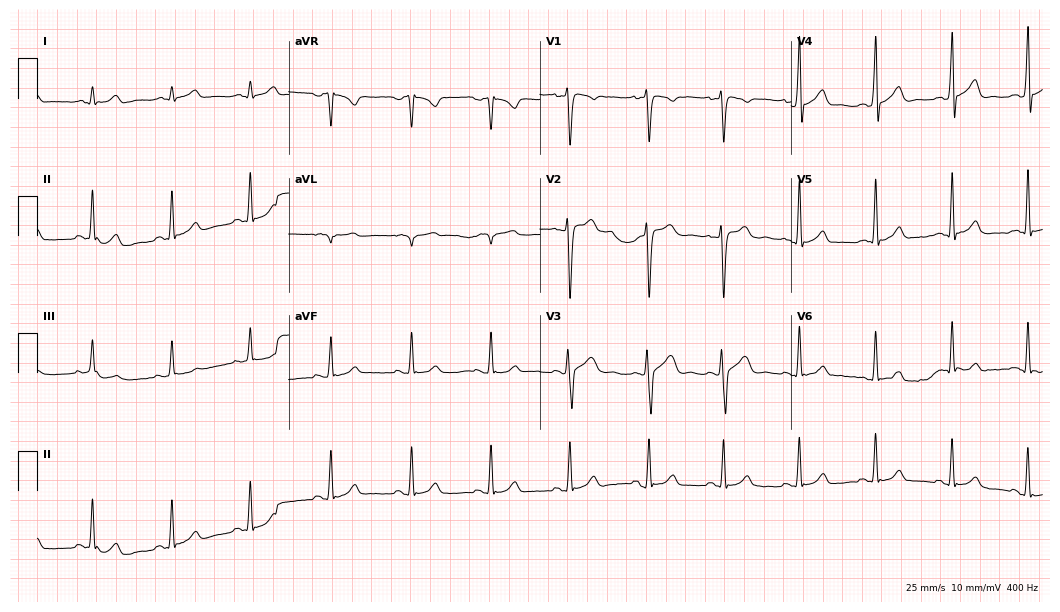
Resting 12-lead electrocardiogram (10.2-second recording at 400 Hz). Patient: a male, 23 years old. Read as a normal ECG.